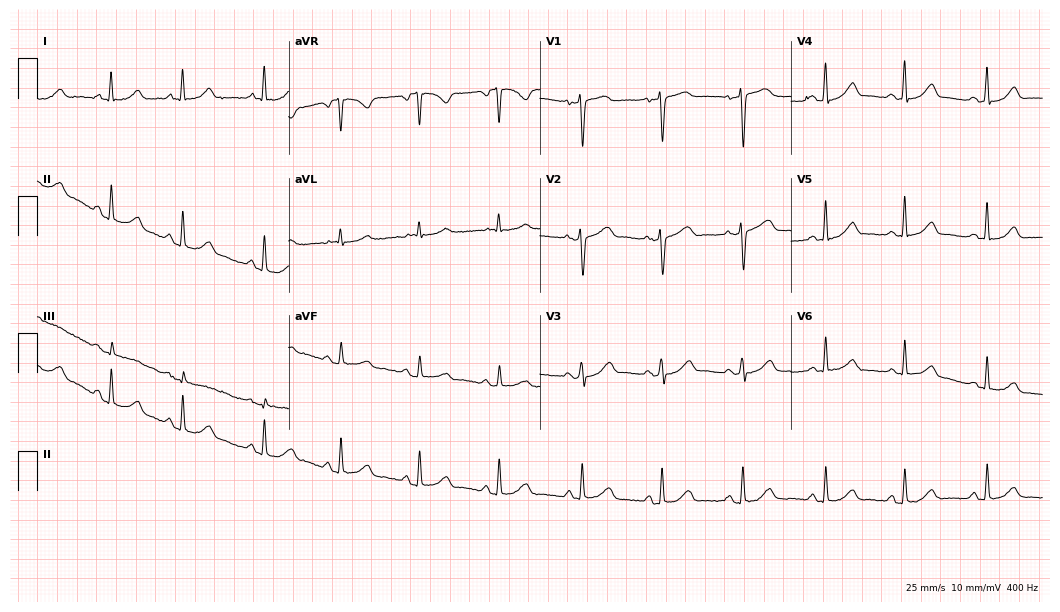
12-lead ECG from a woman, 57 years old. Labelled as a normal ECG.